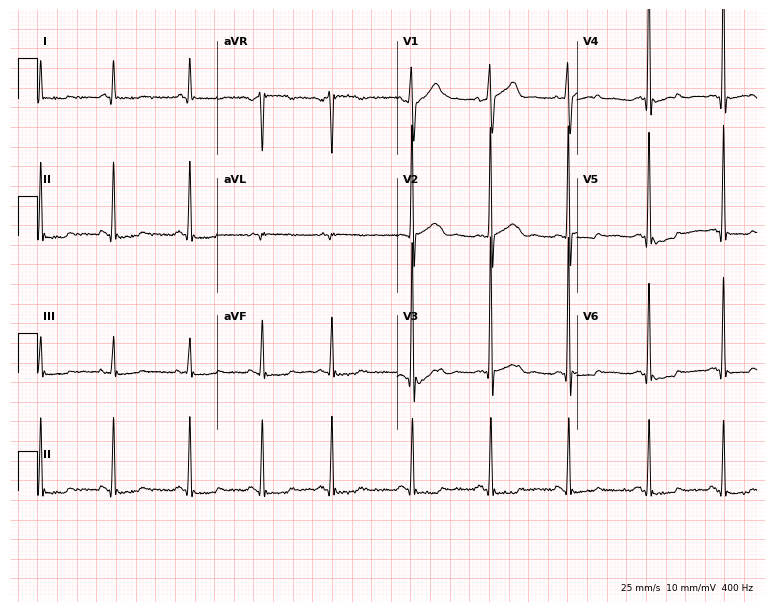
Resting 12-lead electrocardiogram (7.3-second recording at 400 Hz). Patient: a 79-year-old male. None of these six findings is recorded: first-degree AV block, right bundle branch block, left bundle branch block, sinus bradycardia, atrial fibrillation, sinus tachycardia. Other findings, if any, are not listed.